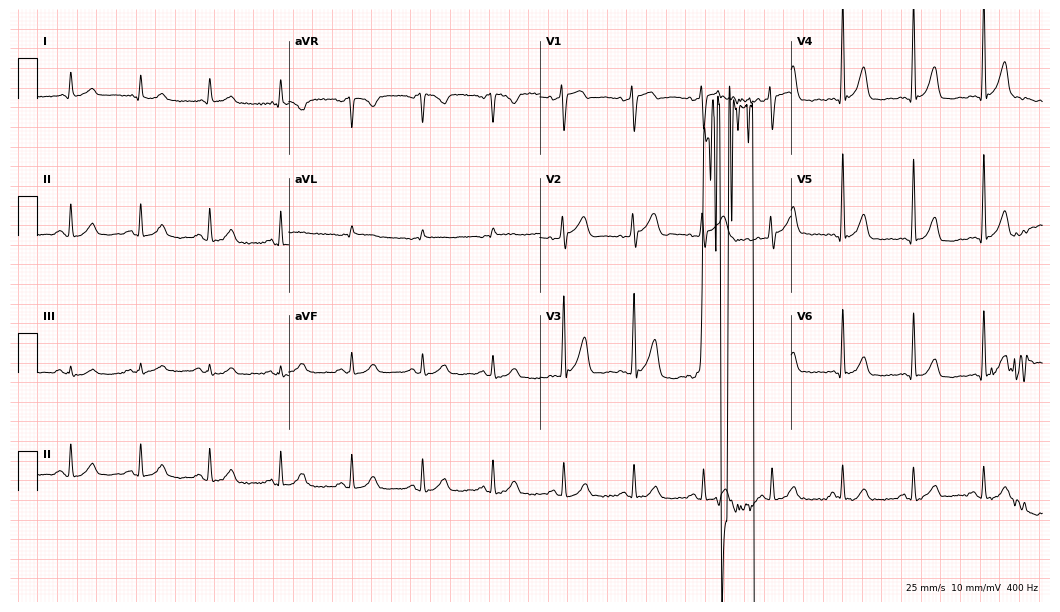
12-lead ECG from a male, 48 years old (10.2-second recording at 400 Hz). No first-degree AV block, right bundle branch block, left bundle branch block, sinus bradycardia, atrial fibrillation or sinus tachycardia recorded for this tracing.